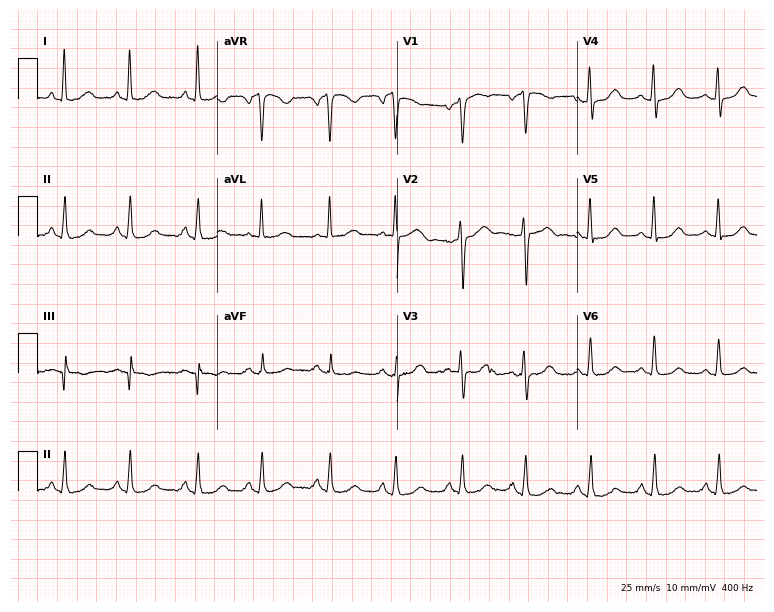
12-lead ECG from a female patient, 69 years old. Labelled as a normal ECG.